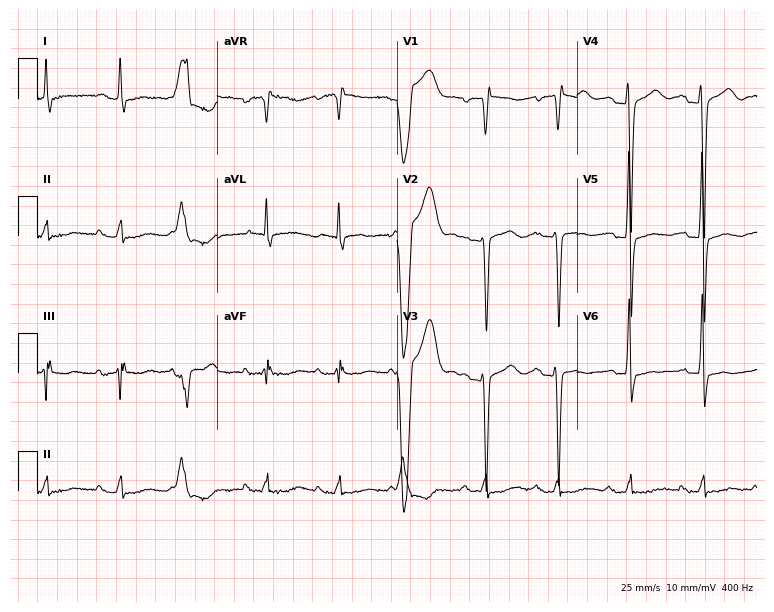
12-lead ECG from a female, 79 years old (7.3-second recording at 400 Hz). No first-degree AV block, right bundle branch block (RBBB), left bundle branch block (LBBB), sinus bradycardia, atrial fibrillation (AF) or sinus tachycardia recorded for this tracing. Other findings, if any, are not listed.